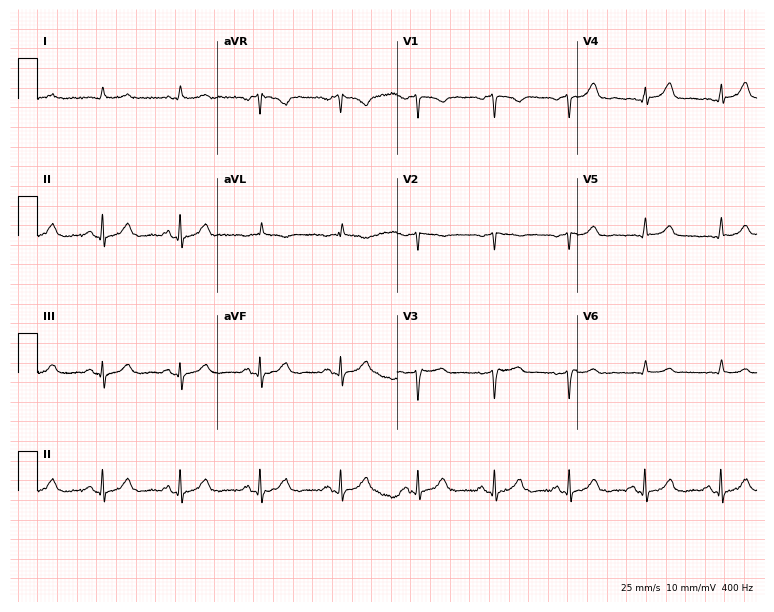
12-lead ECG from a male patient, 63 years old (7.3-second recording at 400 Hz). No first-degree AV block, right bundle branch block (RBBB), left bundle branch block (LBBB), sinus bradycardia, atrial fibrillation (AF) or sinus tachycardia recorded for this tracing. Other findings, if any, are not listed.